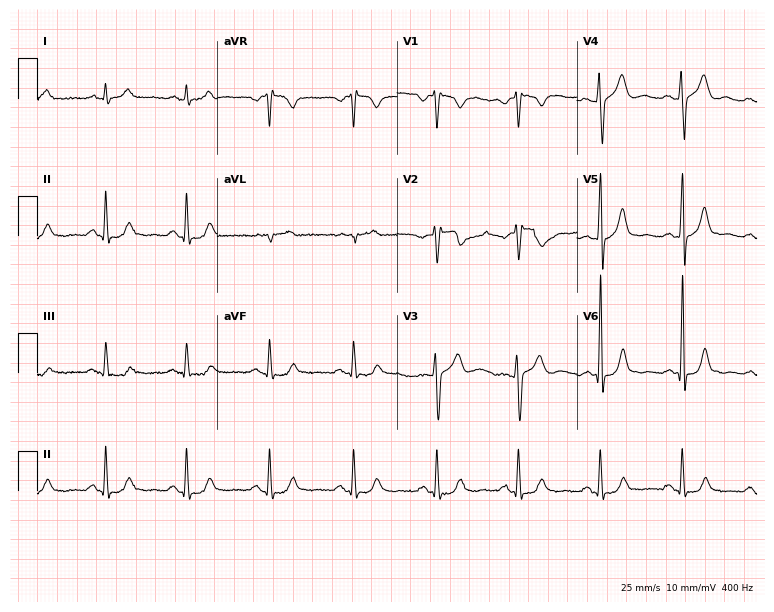
Electrocardiogram, a 61-year-old male patient. Of the six screened findings (first-degree AV block, right bundle branch block (RBBB), left bundle branch block (LBBB), sinus bradycardia, atrial fibrillation (AF), sinus tachycardia), none is recorded. Other findings, if any, are not listed.